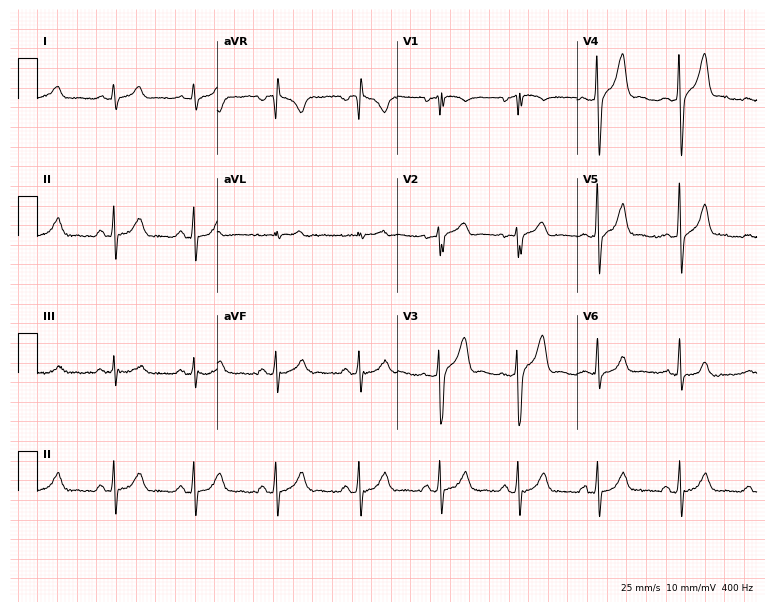
12-lead ECG (7.3-second recording at 400 Hz) from a man, 32 years old. Labelled as a normal ECG.